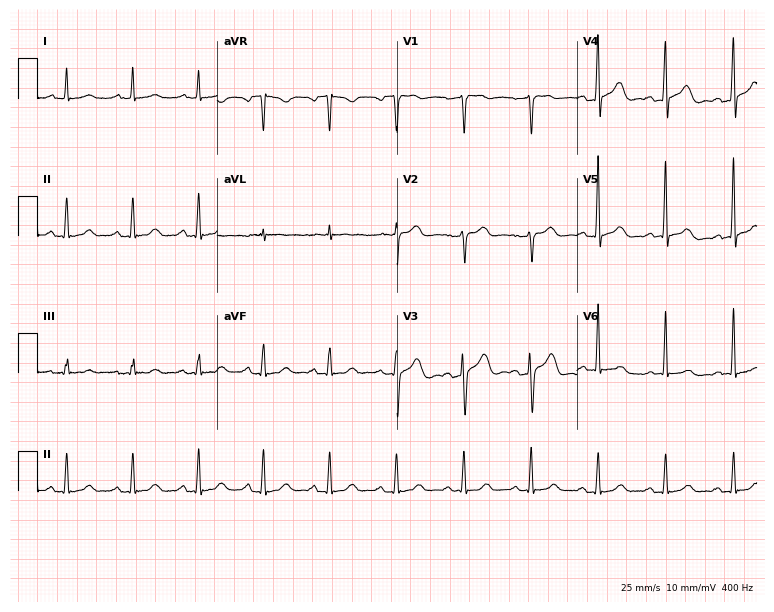
ECG — a 57-year-old female patient. Labelled as a normal ECG.